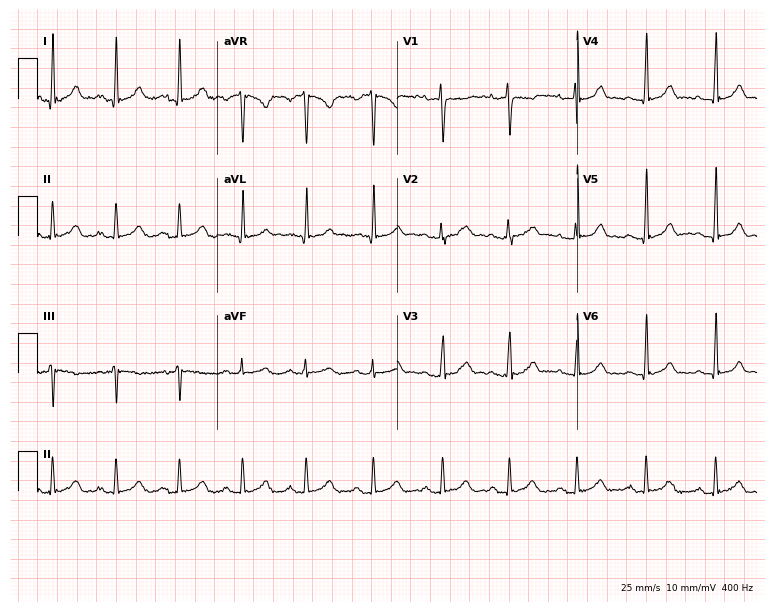
ECG — a 17-year-old woman. Labelled as a normal ECG.